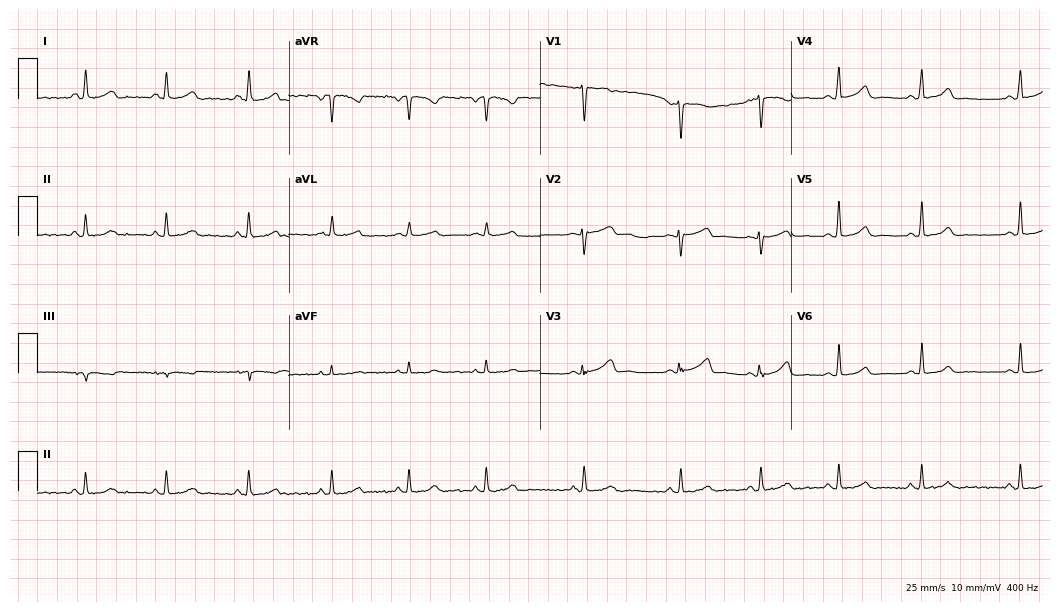
Resting 12-lead electrocardiogram (10.2-second recording at 400 Hz). Patient: a female, 37 years old. Read as a normal ECG.